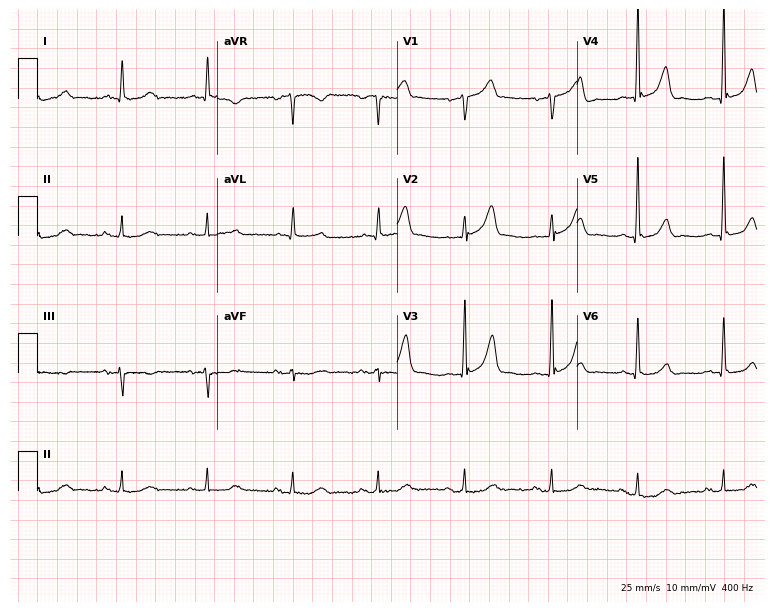
Standard 12-lead ECG recorded from a 67-year-old man (7.3-second recording at 400 Hz). Read as a normal ECG.